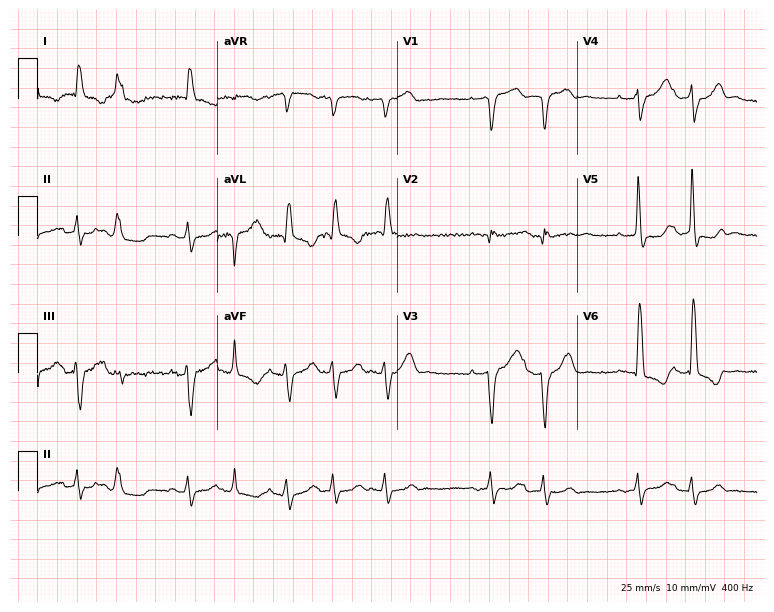
12-lead ECG (7.3-second recording at 400 Hz) from a 78-year-old male. Findings include left bundle branch block, atrial fibrillation.